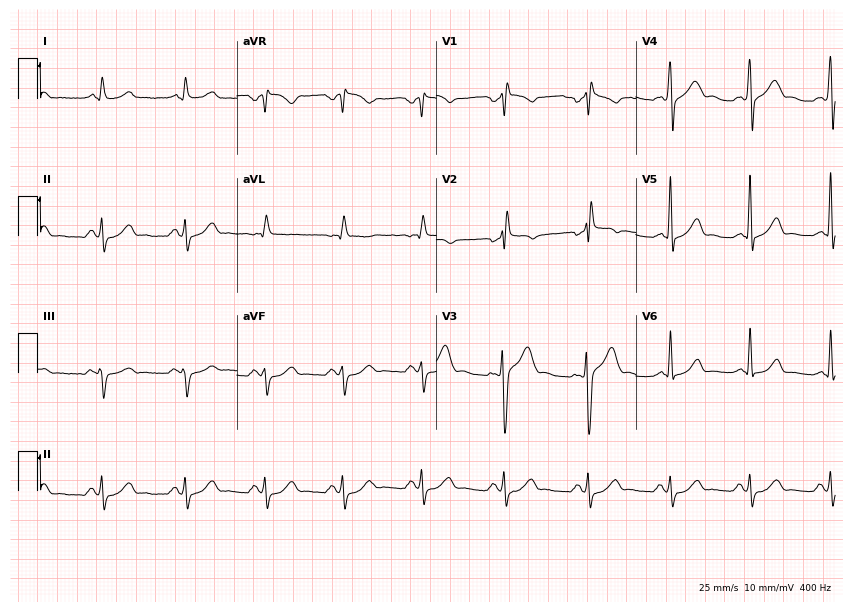
12-lead ECG from a 44-year-old male patient. Screened for six findings — first-degree AV block, right bundle branch block, left bundle branch block, sinus bradycardia, atrial fibrillation, sinus tachycardia — none is recorded.